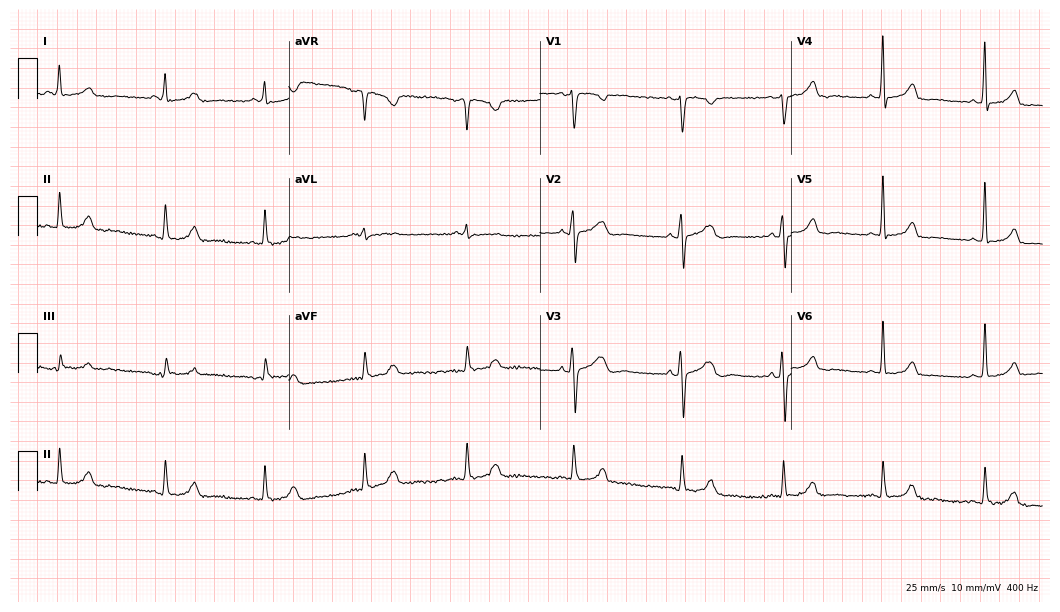
Standard 12-lead ECG recorded from a female patient, 43 years old (10.2-second recording at 400 Hz). Read as a normal ECG.